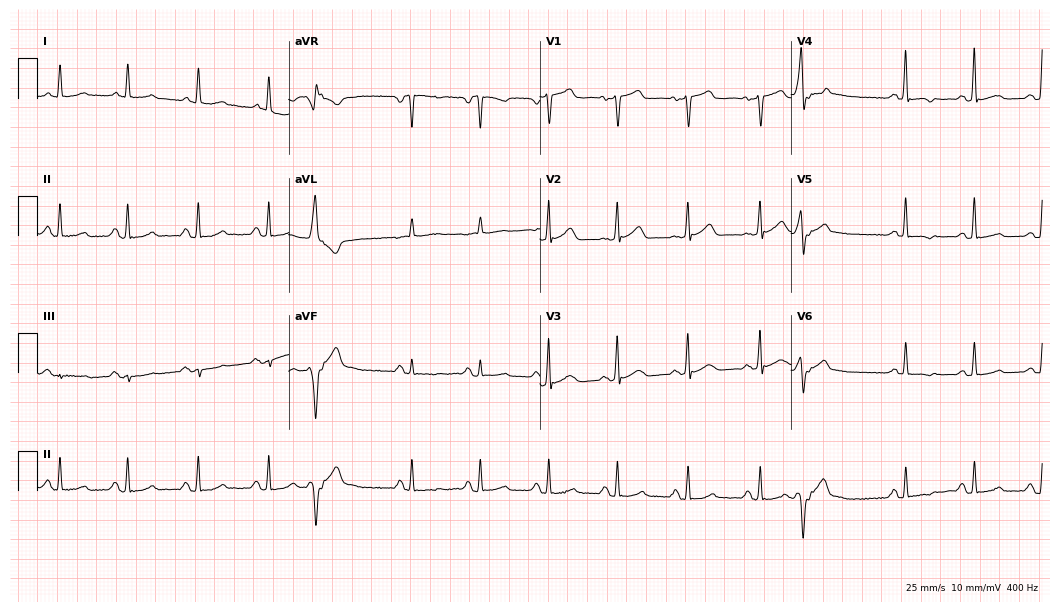
Standard 12-lead ECG recorded from a female, 61 years old (10.2-second recording at 400 Hz). Read as a normal ECG.